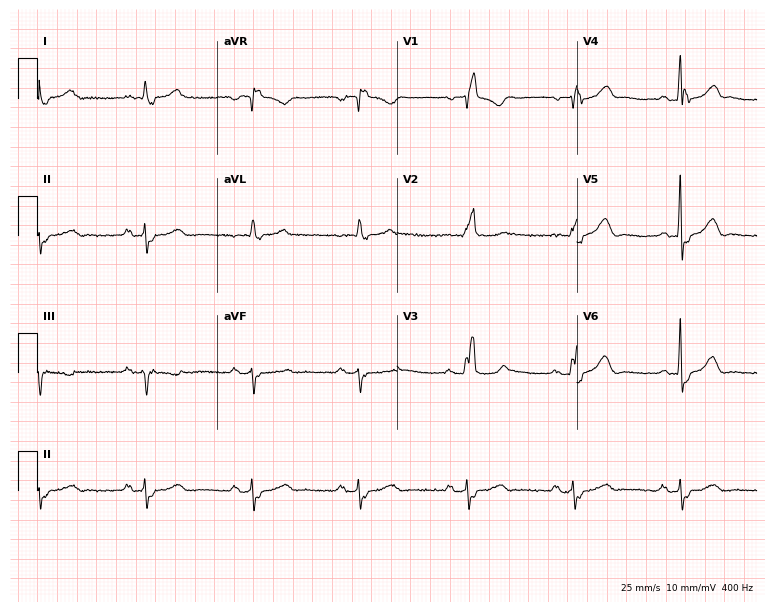
ECG — an 83-year-old male. Findings include right bundle branch block (RBBB).